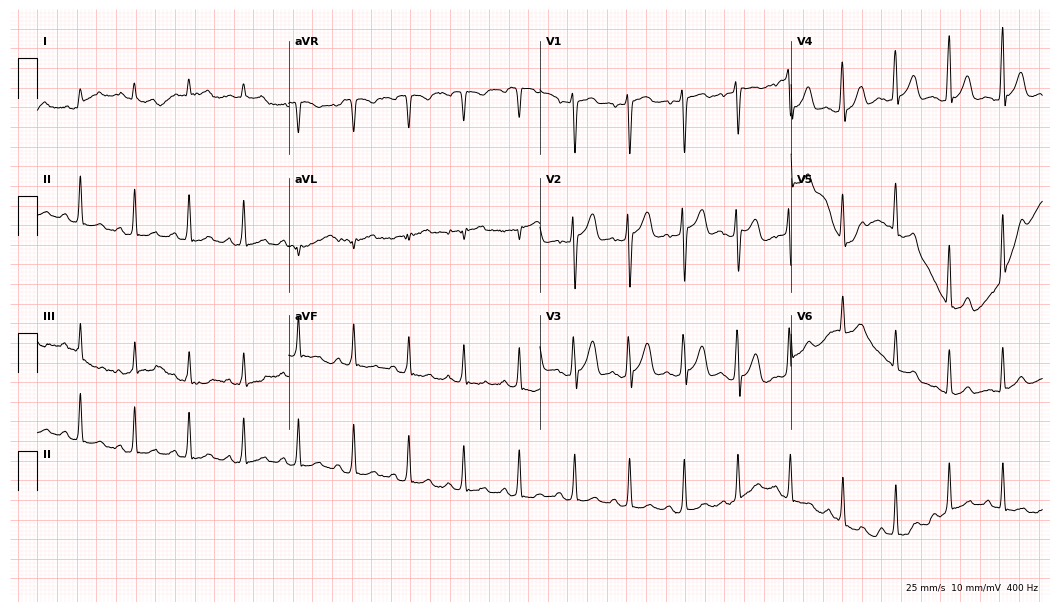
Standard 12-lead ECG recorded from a male patient, 28 years old. The tracing shows sinus tachycardia (a sinus rate of 100 beats per minute or more).